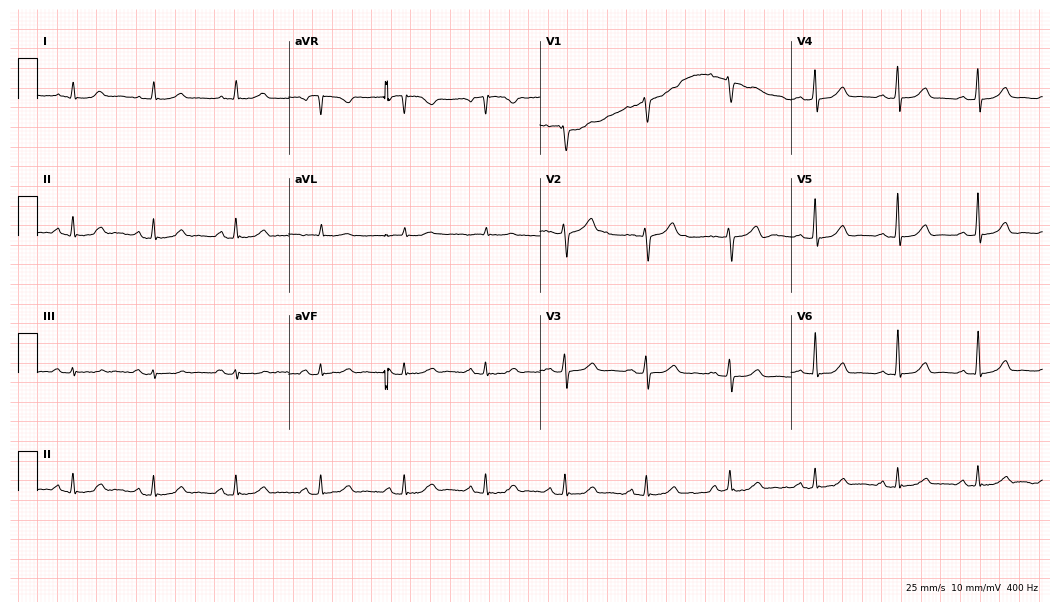
Electrocardiogram, a female patient, 55 years old. Overall reading on record: normal ECG.